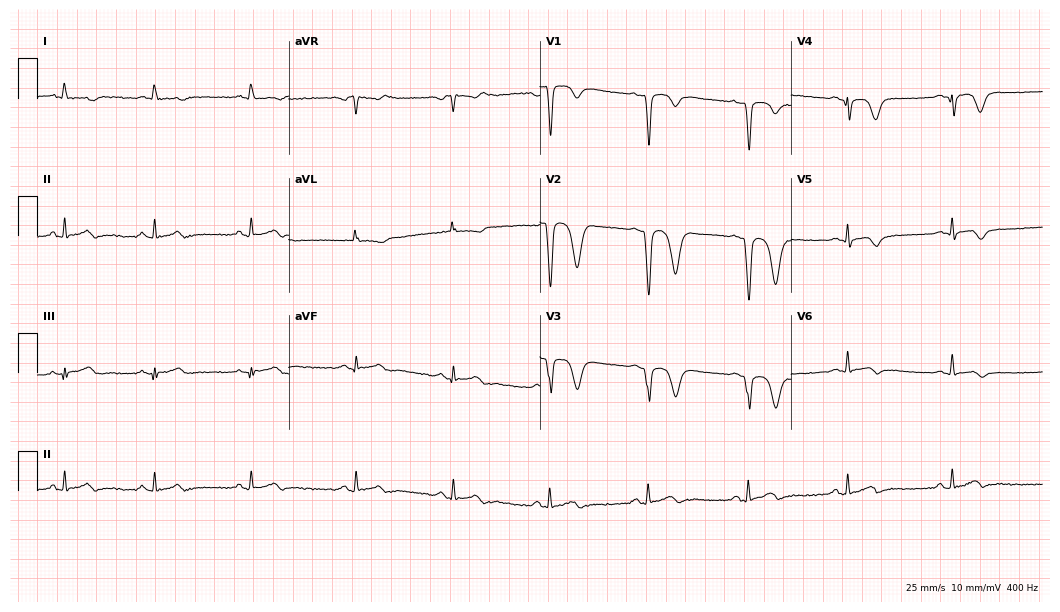
Resting 12-lead electrocardiogram. Patient: a 46-year-old male. None of these six findings is recorded: first-degree AV block, right bundle branch block (RBBB), left bundle branch block (LBBB), sinus bradycardia, atrial fibrillation (AF), sinus tachycardia. Only these six findings were labelled.